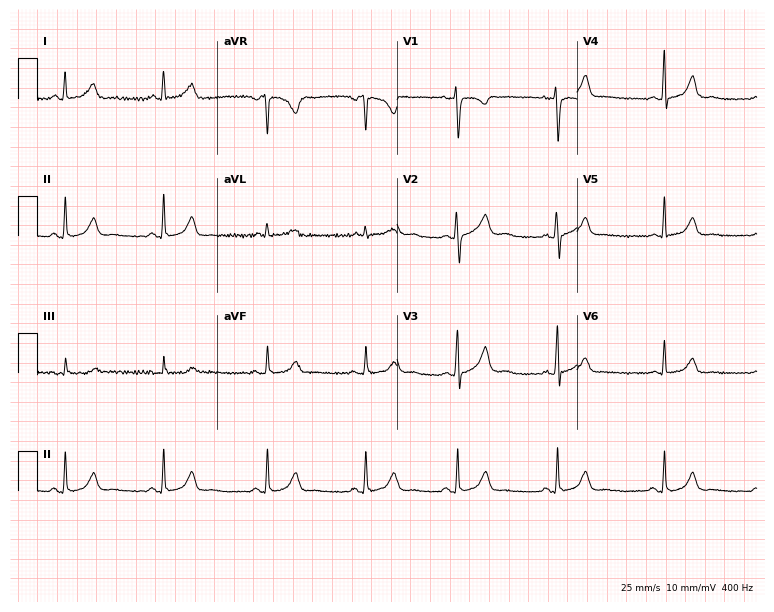
12-lead ECG from a 30-year-old woman. No first-degree AV block, right bundle branch block (RBBB), left bundle branch block (LBBB), sinus bradycardia, atrial fibrillation (AF) or sinus tachycardia recorded for this tracing.